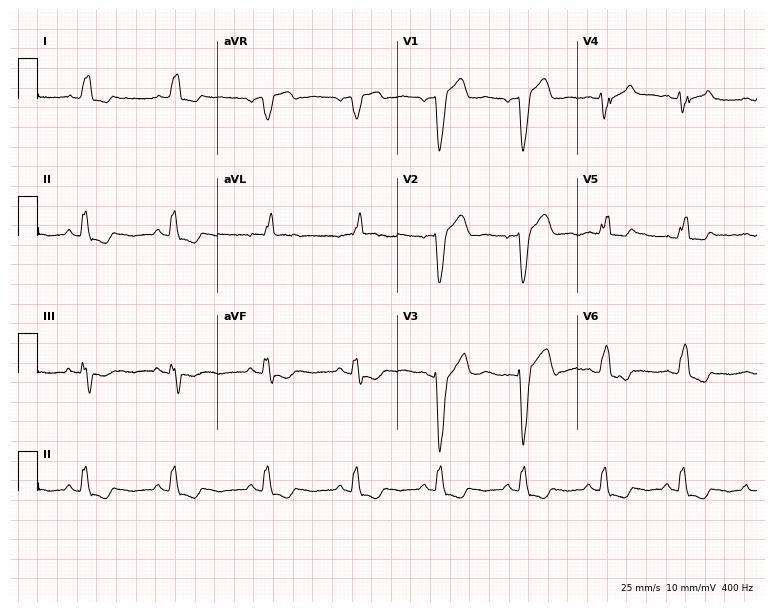
12-lead ECG from a 58-year-old man. No first-degree AV block, right bundle branch block (RBBB), left bundle branch block (LBBB), sinus bradycardia, atrial fibrillation (AF) or sinus tachycardia recorded for this tracing. Only these six findings were labelled.